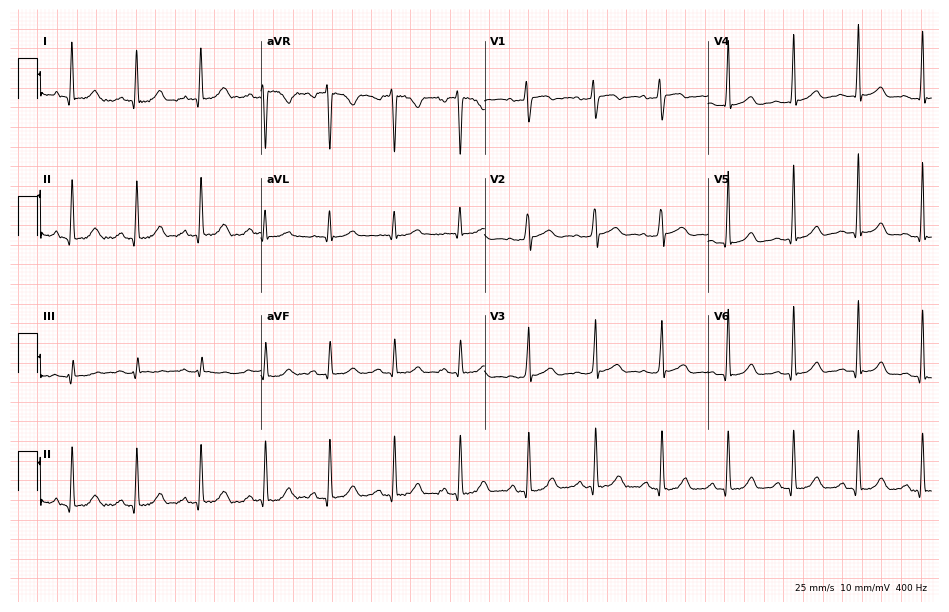
Standard 12-lead ECG recorded from a female, 28 years old (9.1-second recording at 400 Hz). None of these six findings is recorded: first-degree AV block, right bundle branch block, left bundle branch block, sinus bradycardia, atrial fibrillation, sinus tachycardia. Findings outside these six are not listed.